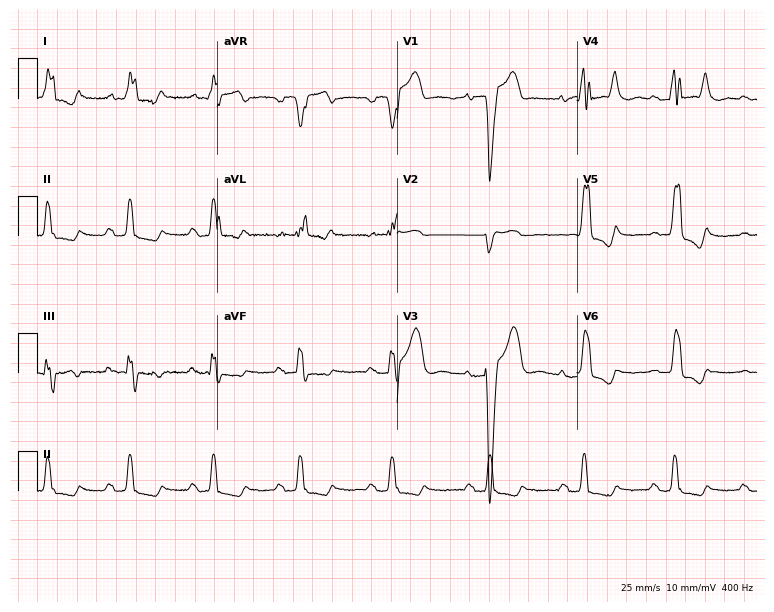
Standard 12-lead ECG recorded from a man, 76 years old. The tracing shows first-degree AV block, left bundle branch block.